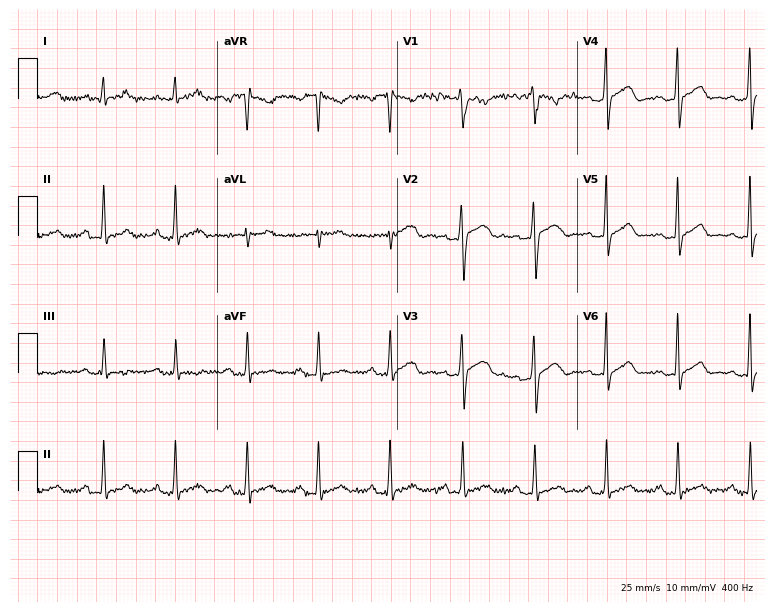
Electrocardiogram (7.3-second recording at 400 Hz), a 24-year-old male. Overall reading on record: normal ECG.